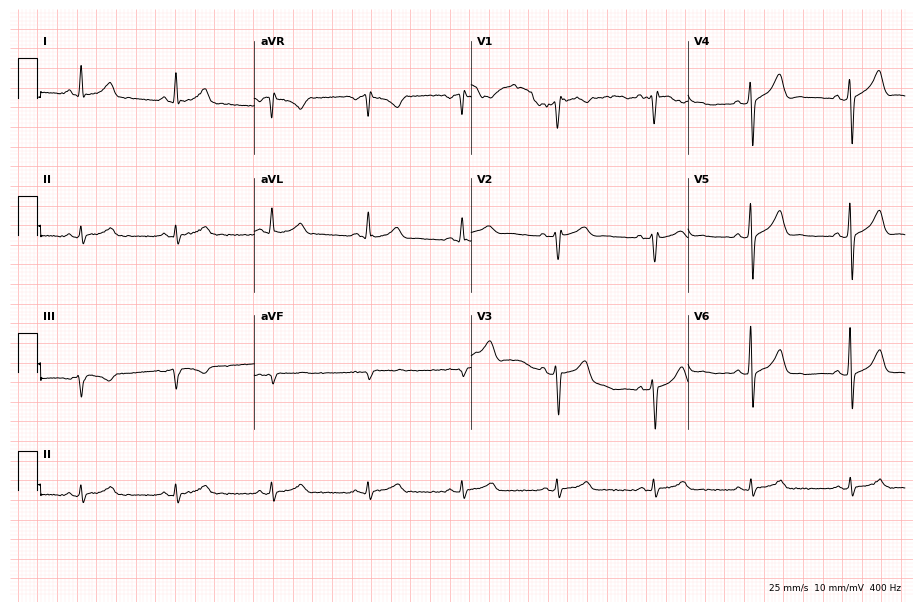
Electrocardiogram (8.8-second recording at 400 Hz), a man, 44 years old. Overall reading on record: normal ECG.